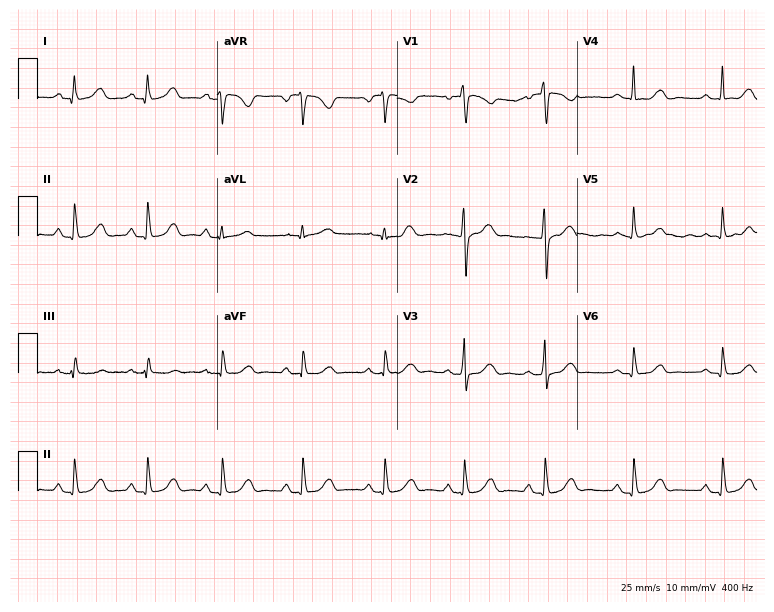
ECG — a woman, 44 years old. Labelled as a normal ECG.